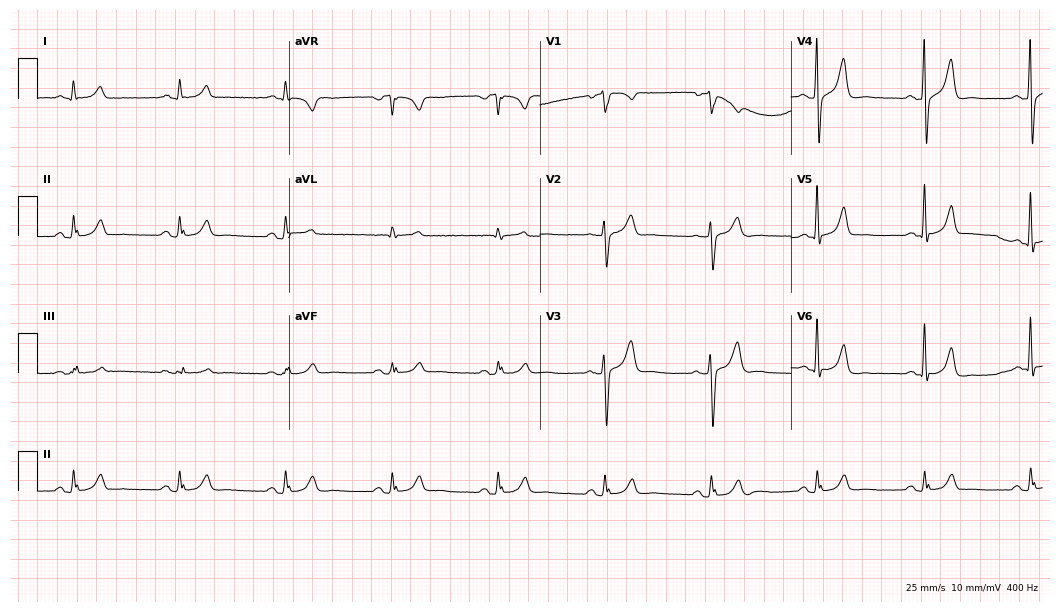
Standard 12-lead ECG recorded from a 61-year-old male patient. Read as a normal ECG.